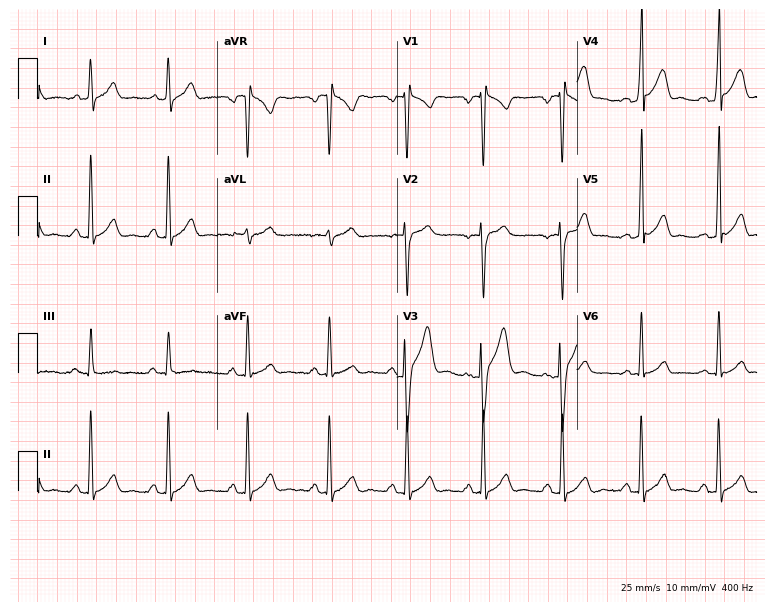
Resting 12-lead electrocardiogram. Patient: a 22-year-old male. Read as a normal ECG.